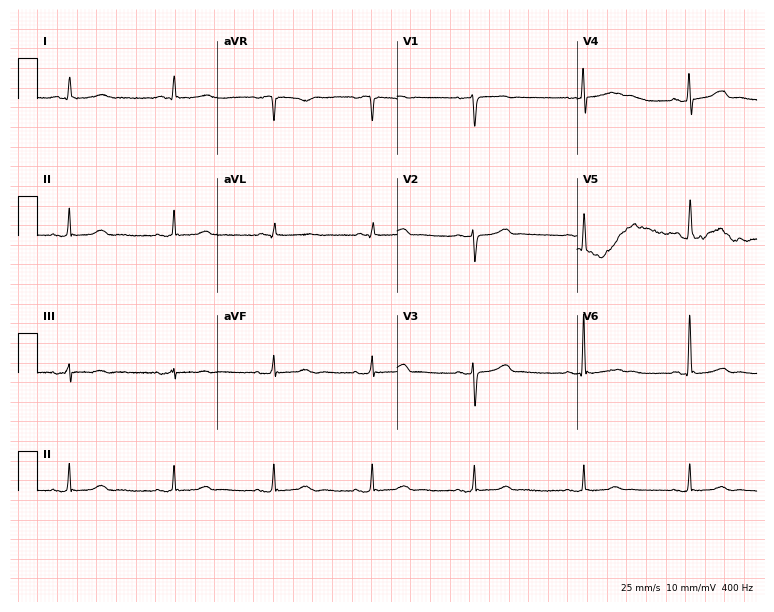
12-lead ECG from a woman, 69 years old. Recorded interpretation: within normal limits.